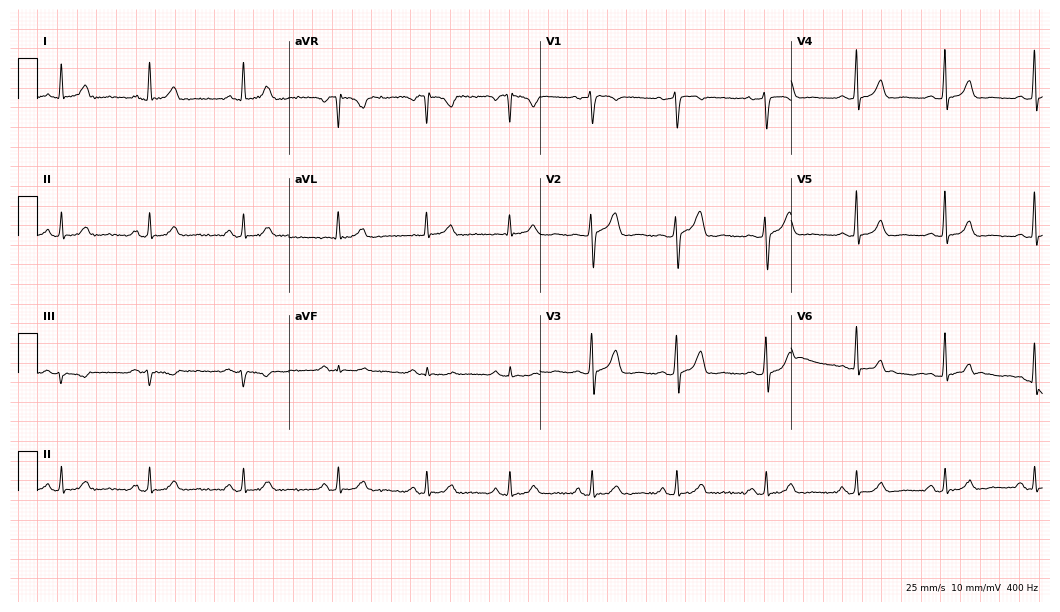
12-lead ECG (10.2-second recording at 400 Hz) from a female patient, 33 years old. Labelled as a normal ECG.